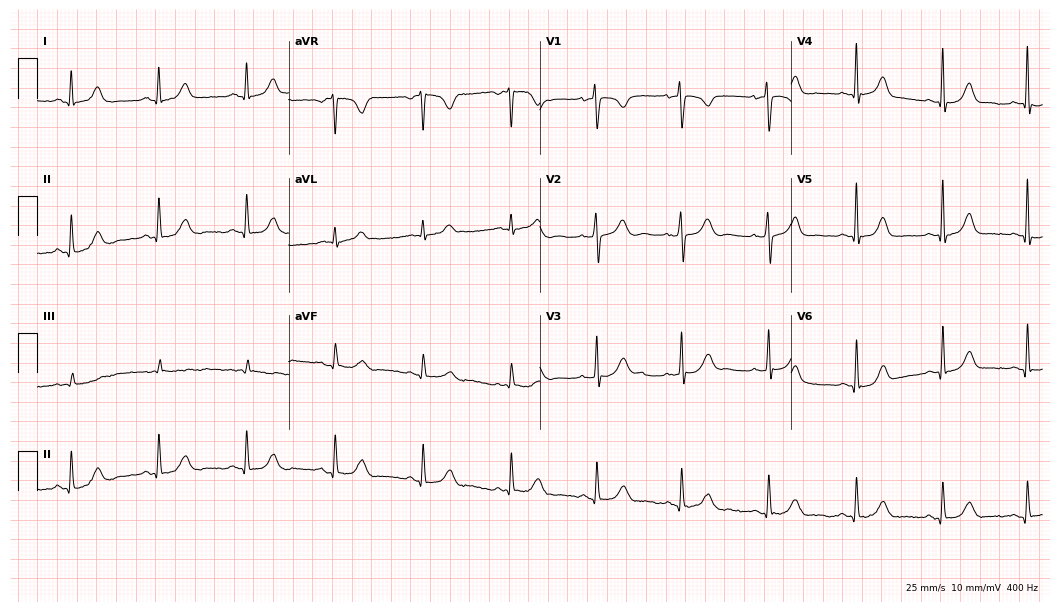
12-lead ECG from a 40-year-old woman (10.2-second recording at 400 Hz). Recorded interpretation: within normal limits.